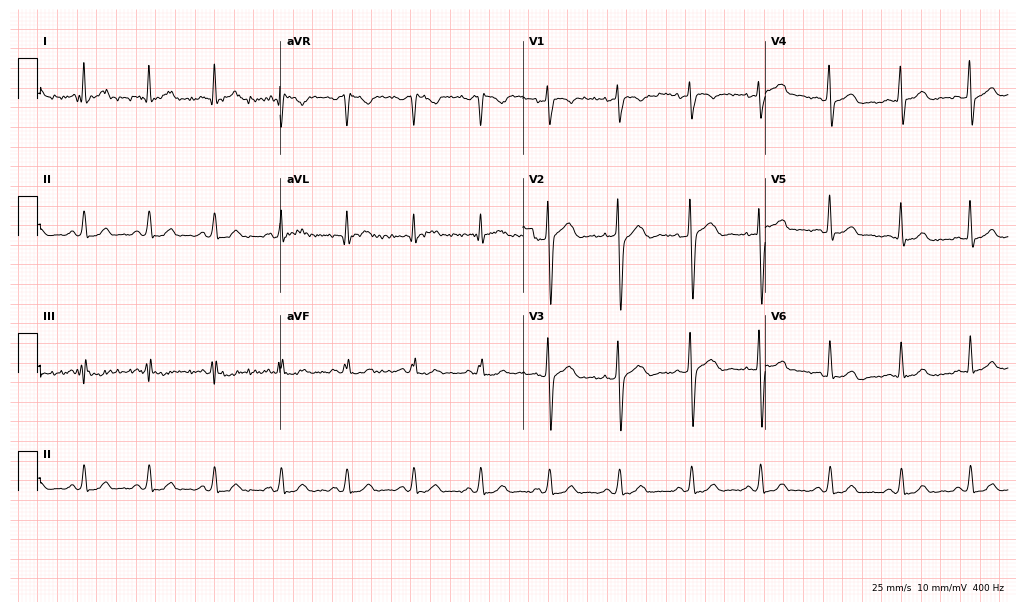
Standard 12-lead ECG recorded from a male patient, 30 years old (9.9-second recording at 400 Hz). Read as a normal ECG.